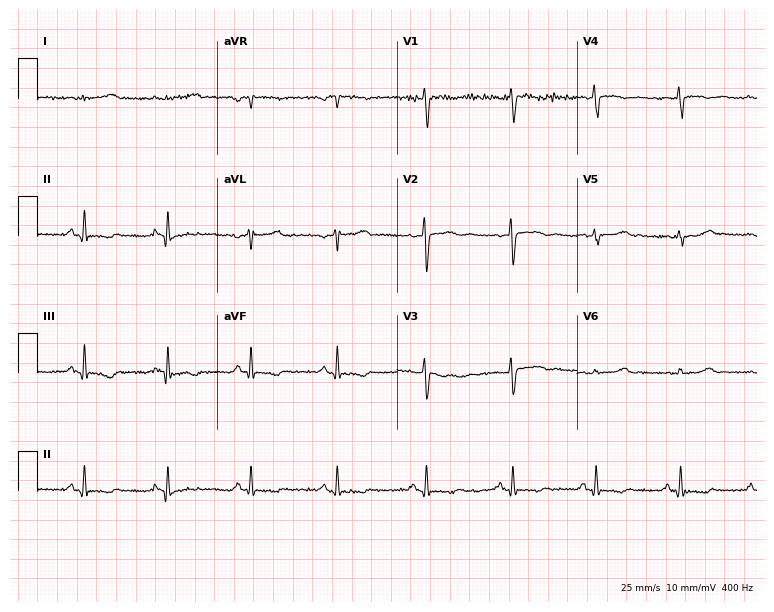
12-lead ECG from a 32-year-old female patient. No first-degree AV block, right bundle branch block, left bundle branch block, sinus bradycardia, atrial fibrillation or sinus tachycardia recorded for this tracing. Only these six findings were labelled.